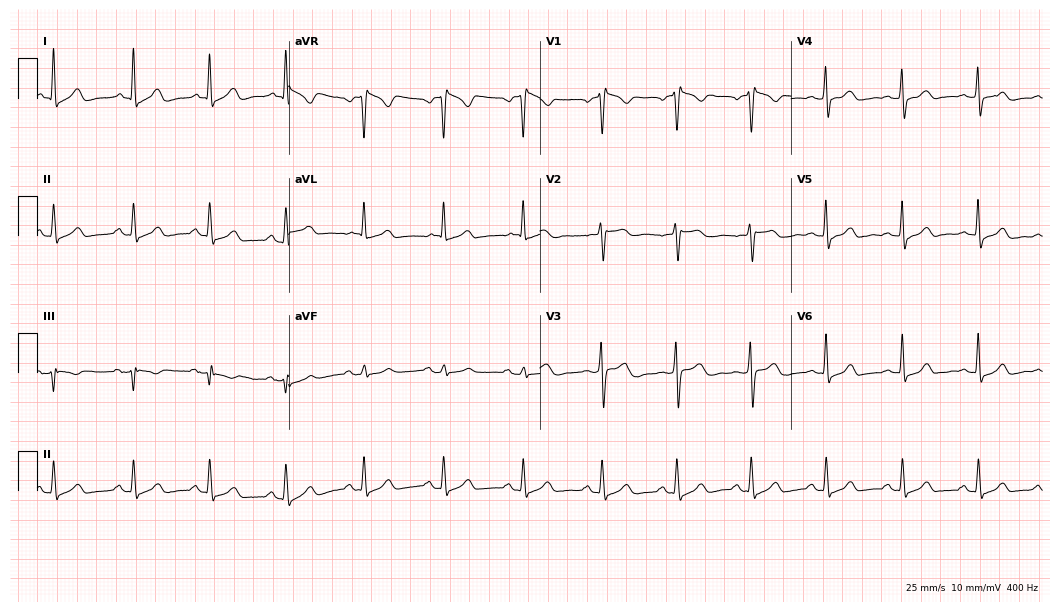
12-lead ECG from a 50-year-old female. Labelled as a normal ECG.